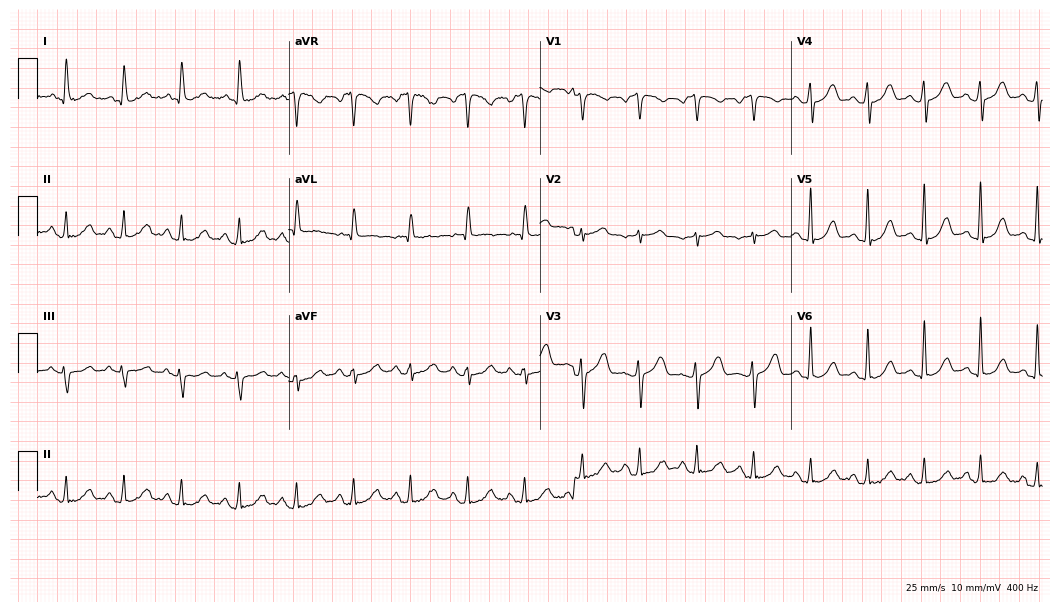
Standard 12-lead ECG recorded from a female, 73 years old. Read as a normal ECG.